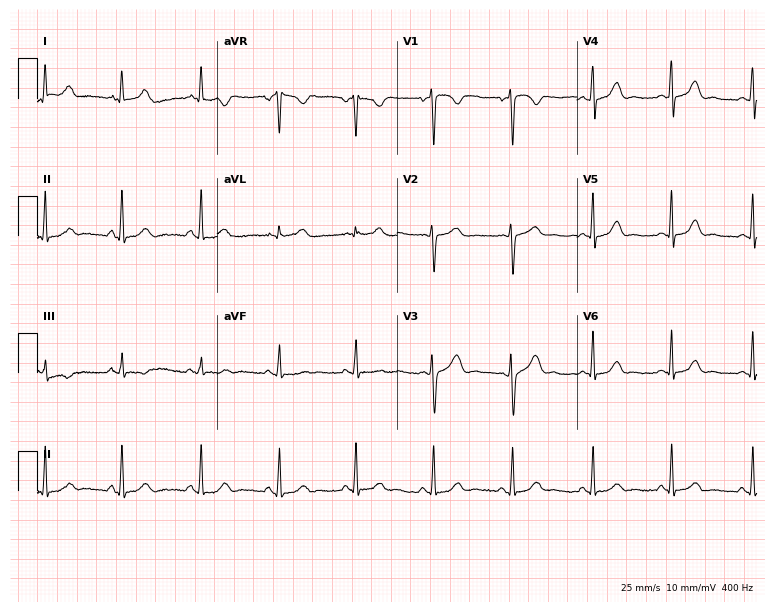
Electrocardiogram, a 25-year-old female. Overall reading on record: normal ECG.